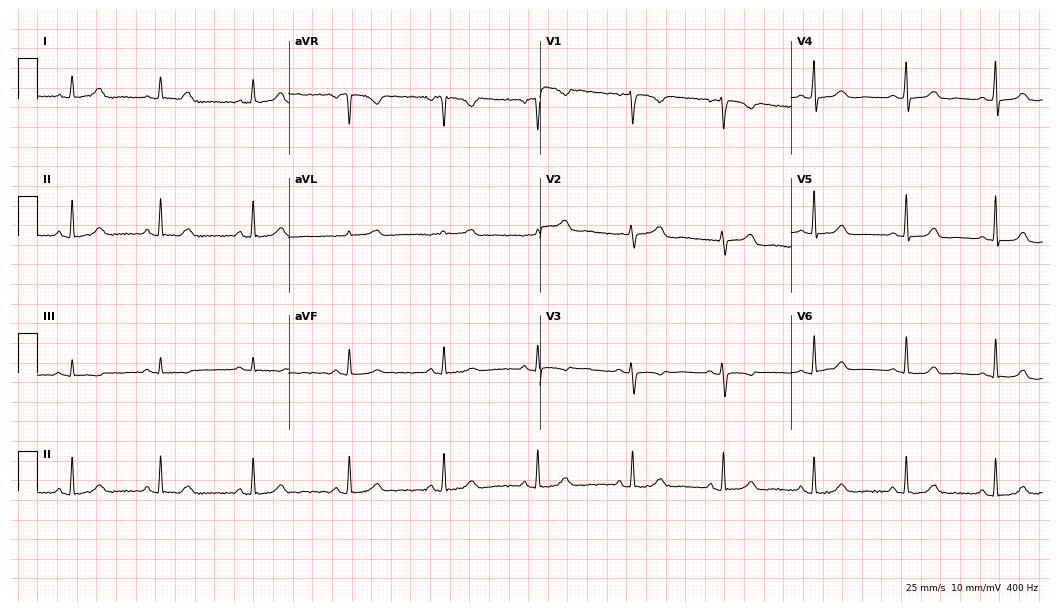
ECG — a female patient, 48 years old. Labelled as a normal ECG.